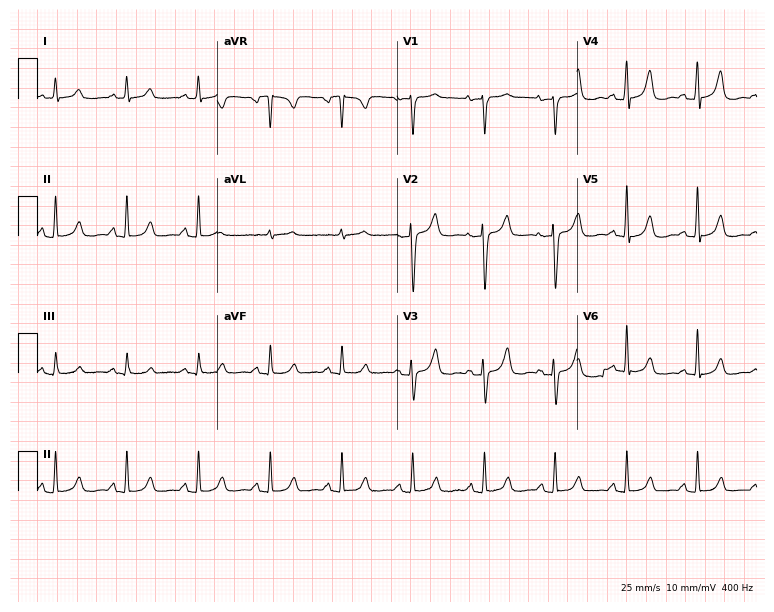
Resting 12-lead electrocardiogram (7.3-second recording at 400 Hz). Patient: a 77-year-old woman. Read as a normal ECG.